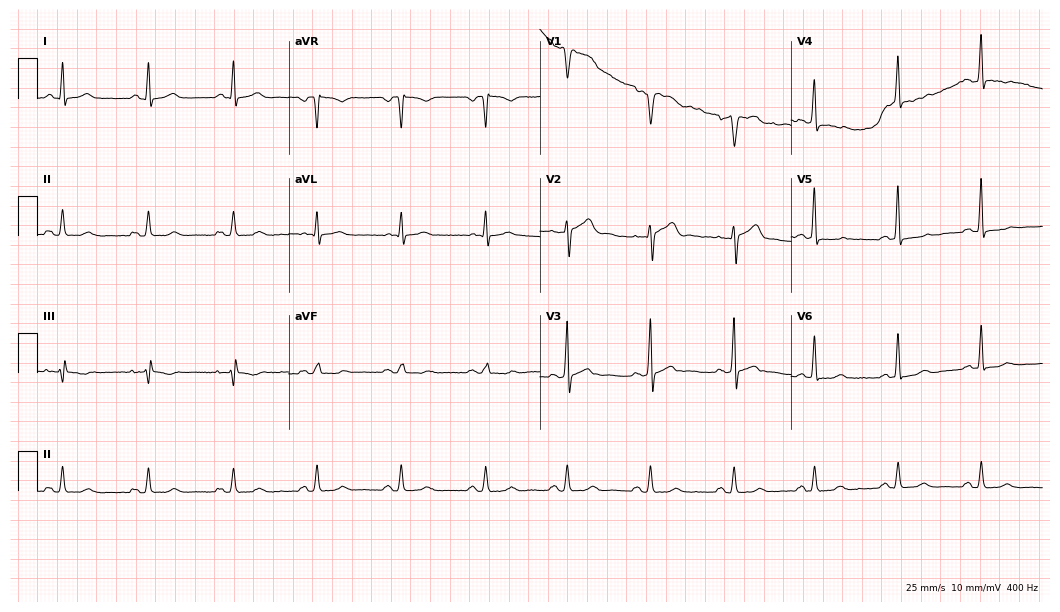
Electrocardiogram (10.2-second recording at 400 Hz), a man, 67 years old. Of the six screened findings (first-degree AV block, right bundle branch block (RBBB), left bundle branch block (LBBB), sinus bradycardia, atrial fibrillation (AF), sinus tachycardia), none is recorded. Other findings, if any, are not listed.